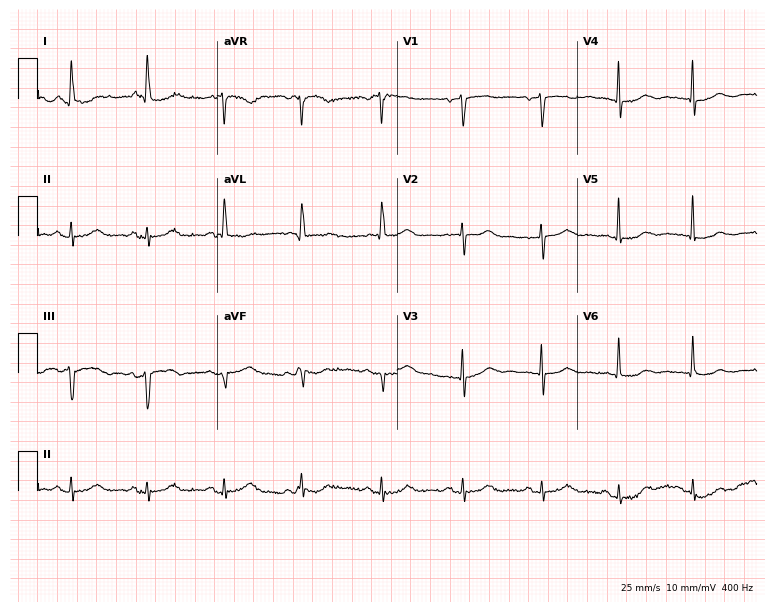
Electrocardiogram (7.3-second recording at 400 Hz), a female, 72 years old. Of the six screened findings (first-degree AV block, right bundle branch block, left bundle branch block, sinus bradycardia, atrial fibrillation, sinus tachycardia), none is recorded. Only these six findings were labelled.